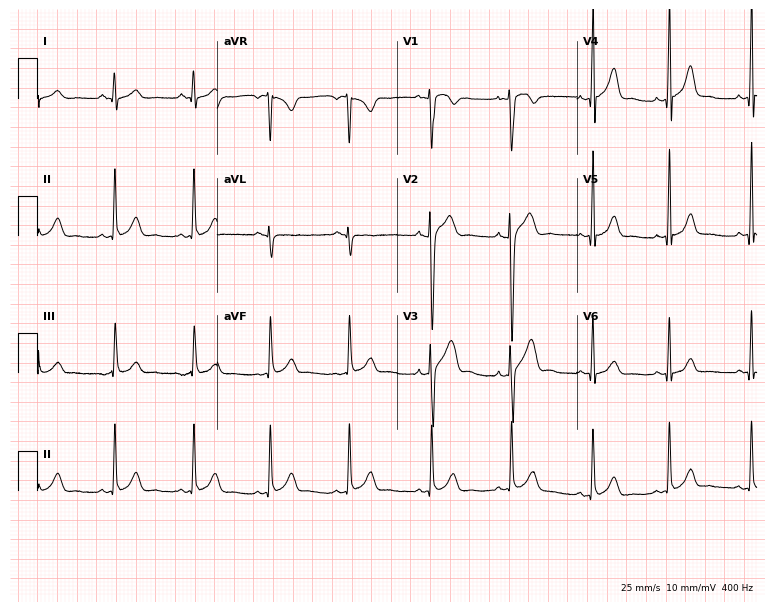
ECG (7.3-second recording at 400 Hz) — a 23-year-old male patient. Labelled as a normal ECG.